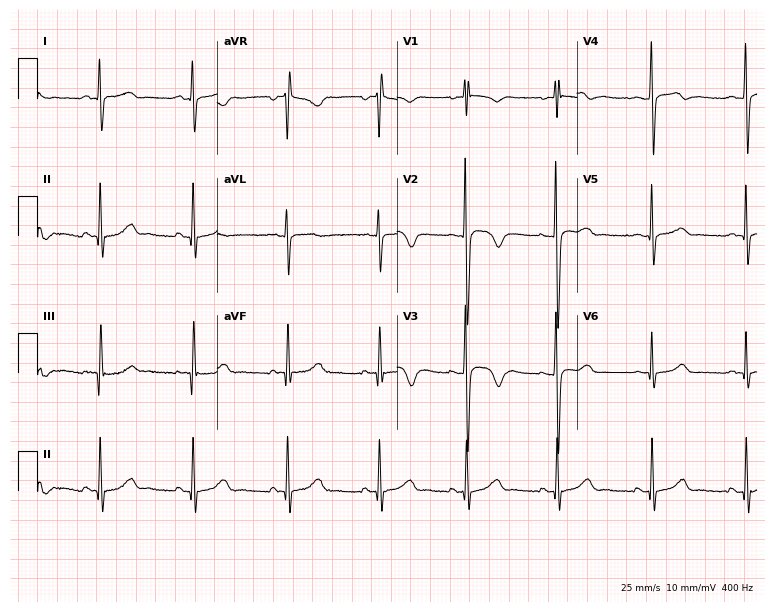
Standard 12-lead ECG recorded from a 27-year-old male patient (7.3-second recording at 400 Hz). Read as a normal ECG.